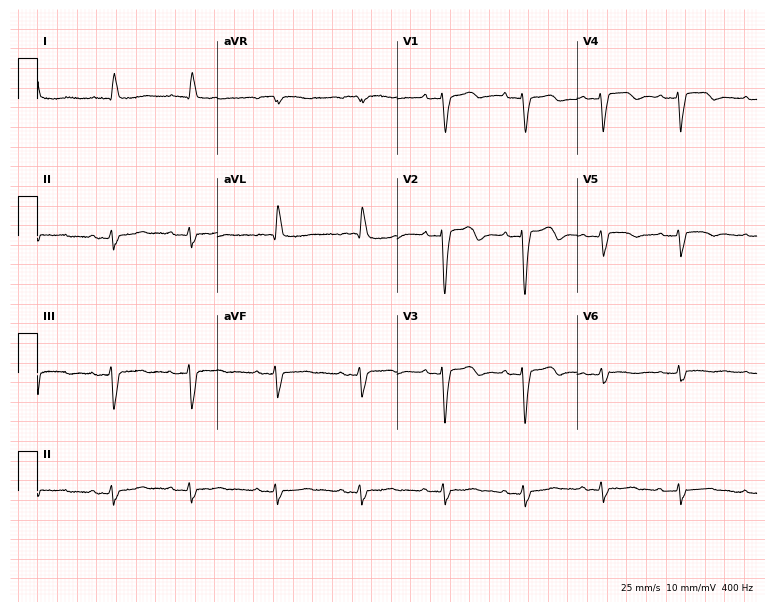
ECG — a 71-year-old woman. Screened for six findings — first-degree AV block, right bundle branch block (RBBB), left bundle branch block (LBBB), sinus bradycardia, atrial fibrillation (AF), sinus tachycardia — none is recorded.